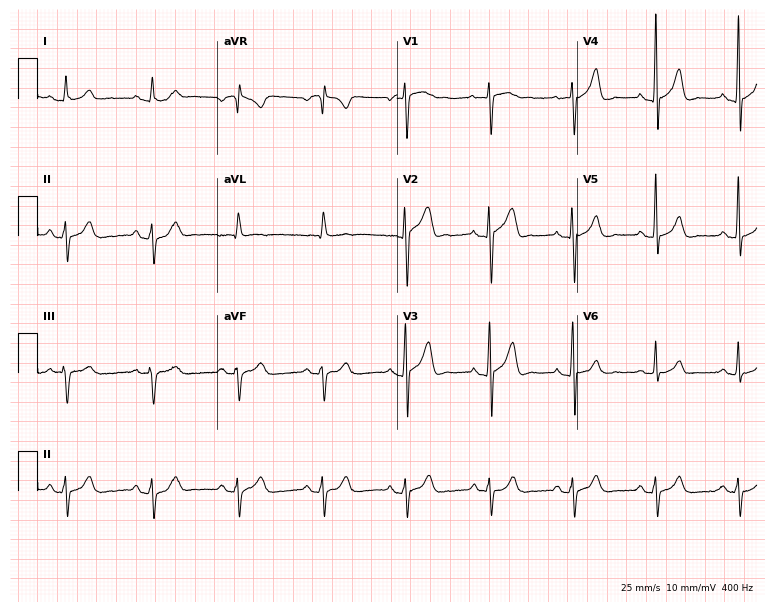
Electrocardiogram, a 62-year-old man. Of the six screened findings (first-degree AV block, right bundle branch block (RBBB), left bundle branch block (LBBB), sinus bradycardia, atrial fibrillation (AF), sinus tachycardia), none is recorded. Findings outside these six are not listed.